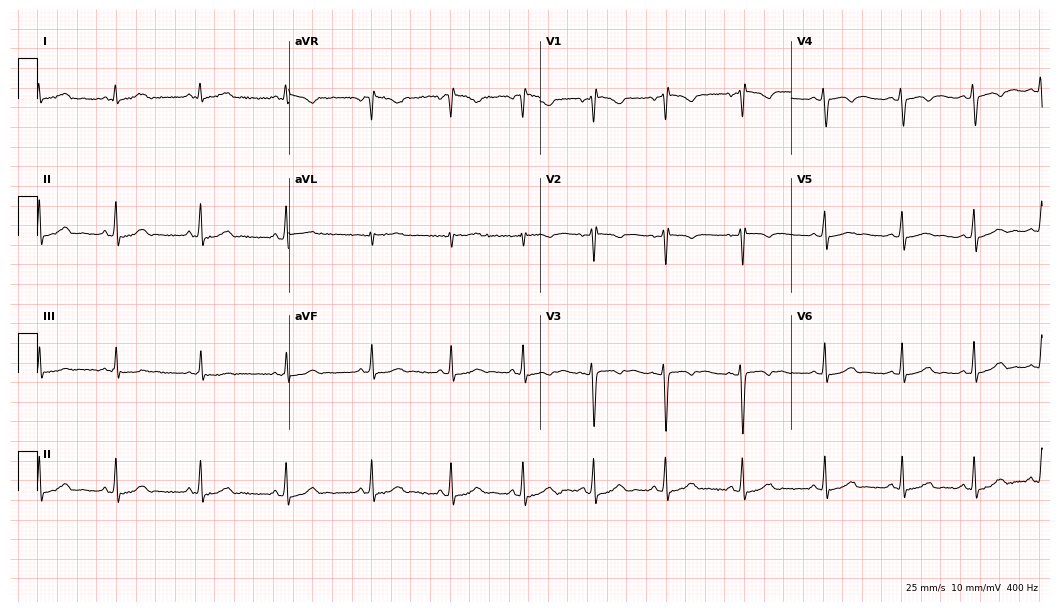
Resting 12-lead electrocardiogram. Patient: a 19-year-old female. None of these six findings is recorded: first-degree AV block, right bundle branch block (RBBB), left bundle branch block (LBBB), sinus bradycardia, atrial fibrillation (AF), sinus tachycardia. Only these six findings were labelled.